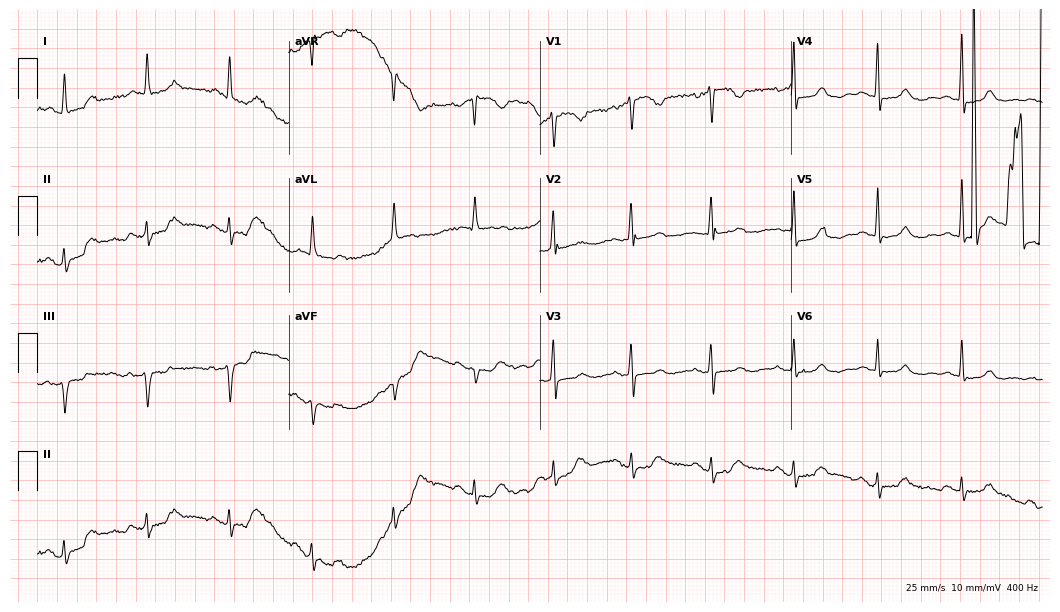
12-lead ECG from an 83-year-old woman. Screened for six findings — first-degree AV block, right bundle branch block, left bundle branch block, sinus bradycardia, atrial fibrillation, sinus tachycardia — none is recorded.